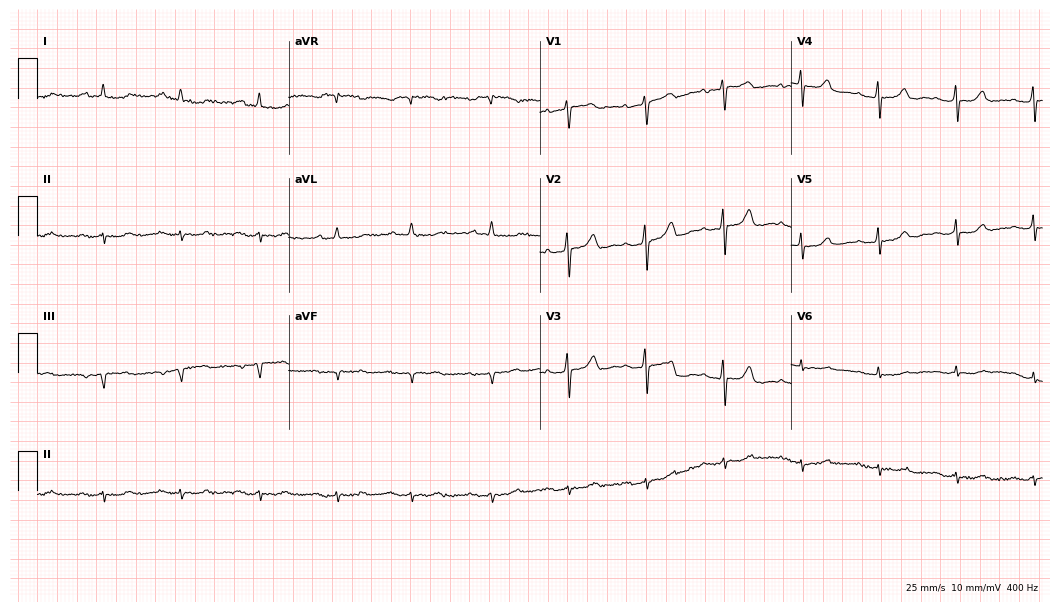
Standard 12-lead ECG recorded from a woman, 66 years old. None of these six findings is recorded: first-degree AV block, right bundle branch block (RBBB), left bundle branch block (LBBB), sinus bradycardia, atrial fibrillation (AF), sinus tachycardia.